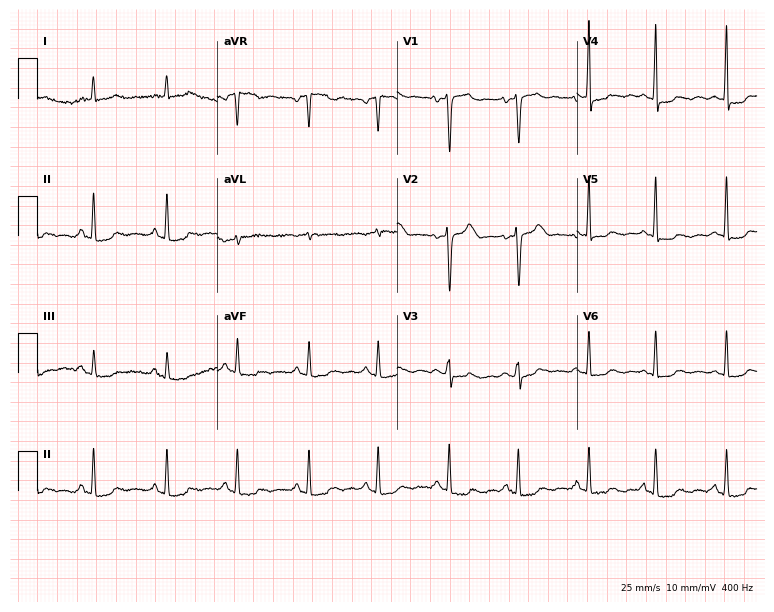
ECG (7.3-second recording at 400 Hz) — a 47-year-old female patient. Screened for six findings — first-degree AV block, right bundle branch block (RBBB), left bundle branch block (LBBB), sinus bradycardia, atrial fibrillation (AF), sinus tachycardia — none is recorded. Findings outside these six are not listed.